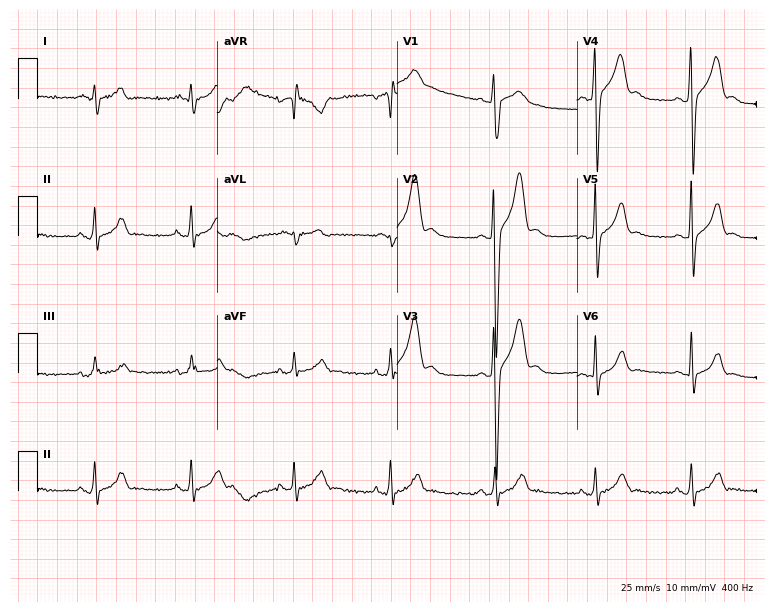
12-lead ECG from a 25-year-old male. Screened for six findings — first-degree AV block, right bundle branch block (RBBB), left bundle branch block (LBBB), sinus bradycardia, atrial fibrillation (AF), sinus tachycardia — none is recorded.